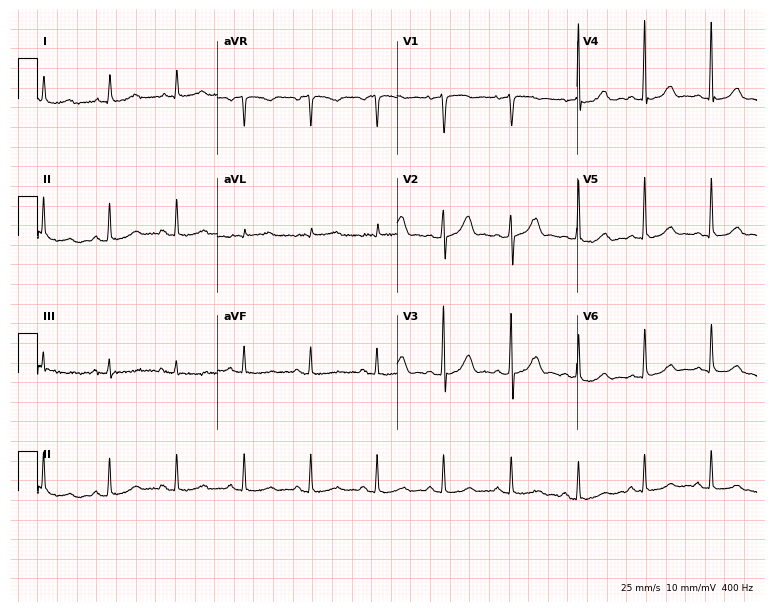
Electrocardiogram, a female patient, 61 years old. Overall reading on record: normal ECG.